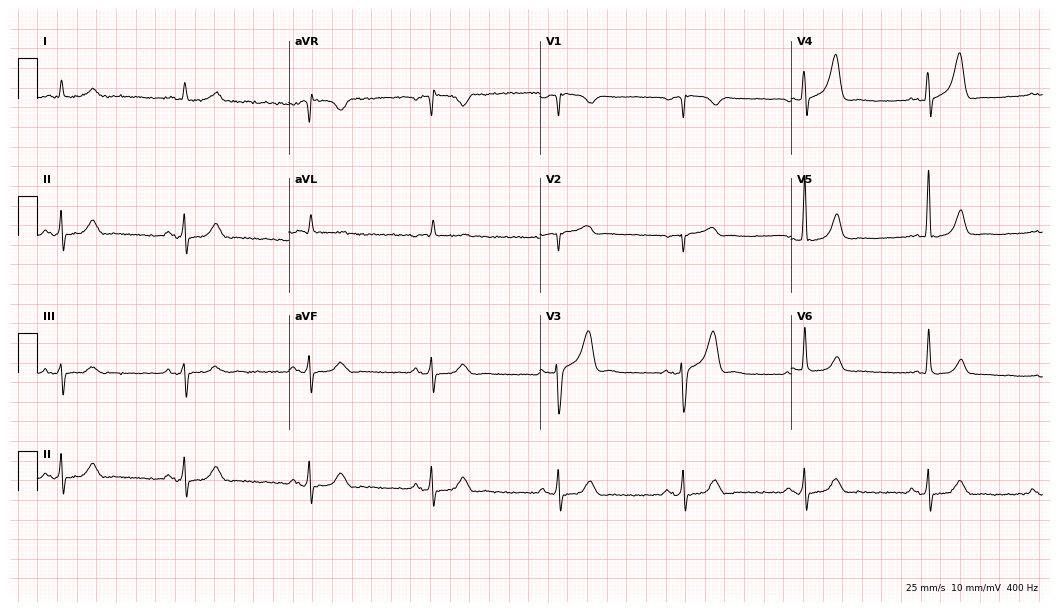
ECG (10.2-second recording at 400 Hz) — a man, 83 years old. Screened for six findings — first-degree AV block, right bundle branch block (RBBB), left bundle branch block (LBBB), sinus bradycardia, atrial fibrillation (AF), sinus tachycardia — none is recorded. Findings outside these six are not listed.